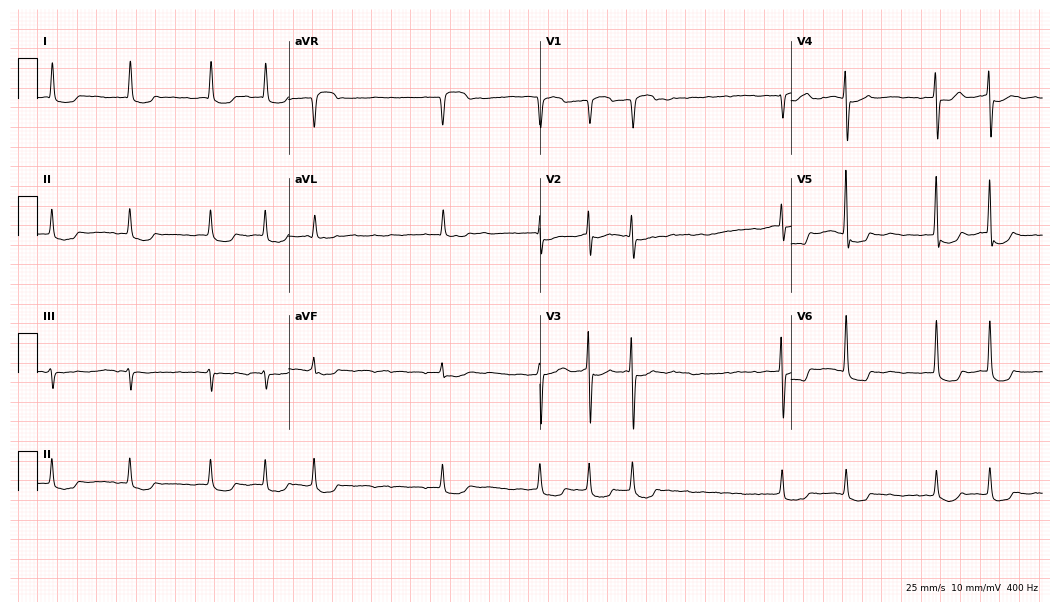
12-lead ECG from a female patient, 78 years old (10.2-second recording at 400 Hz). Shows atrial fibrillation.